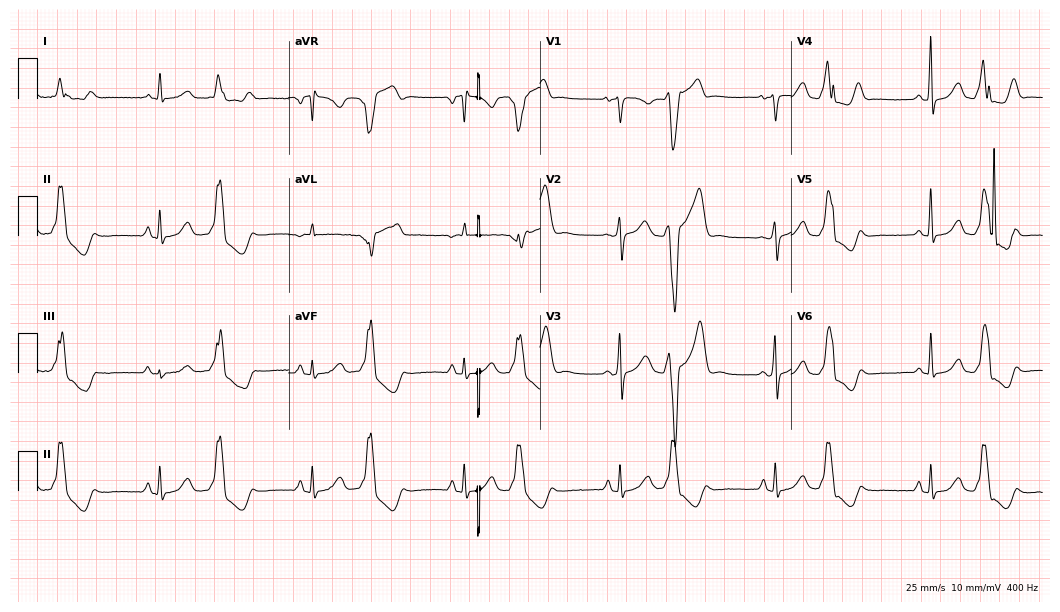
Resting 12-lead electrocardiogram (10.2-second recording at 400 Hz). Patient: a woman, 54 years old. None of these six findings is recorded: first-degree AV block, right bundle branch block (RBBB), left bundle branch block (LBBB), sinus bradycardia, atrial fibrillation (AF), sinus tachycardia. Findings outside these six are not listed.